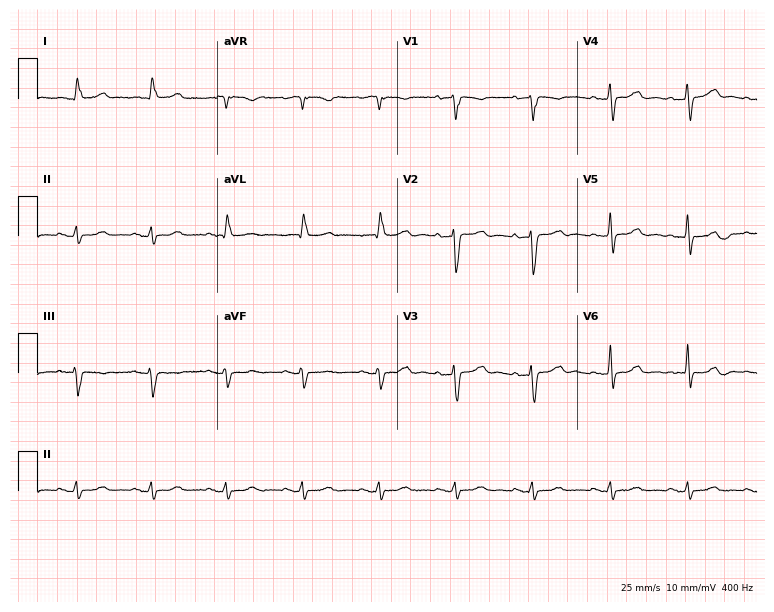
Standard 12-lead ECG recorded from a 76-year-old male (7.3-second recording at 400 Hz). None of these six findings is recorded: first-degree AV block, right bundle branch block (RBBB), left bundle branch block (LBBB), sinus bradycardia, atrial fibrillation (AF), sinus tachycardia.